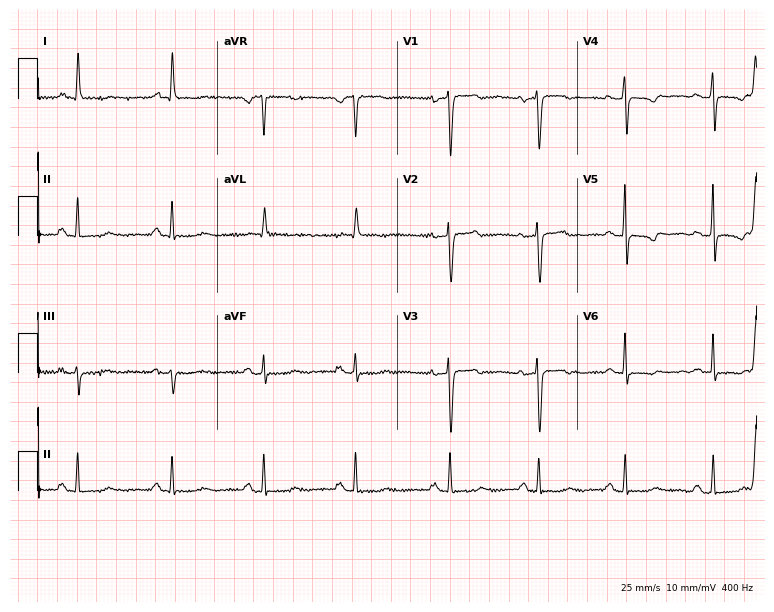
Resting 12-lead electrocardiogram. Patient: a female, 58 years old. None of these six findings is recorded: first-degree AV block, right bundle branch block, left bundle branch block, sinus bradycardia, atrial fibrillation, sinus tachycardia.